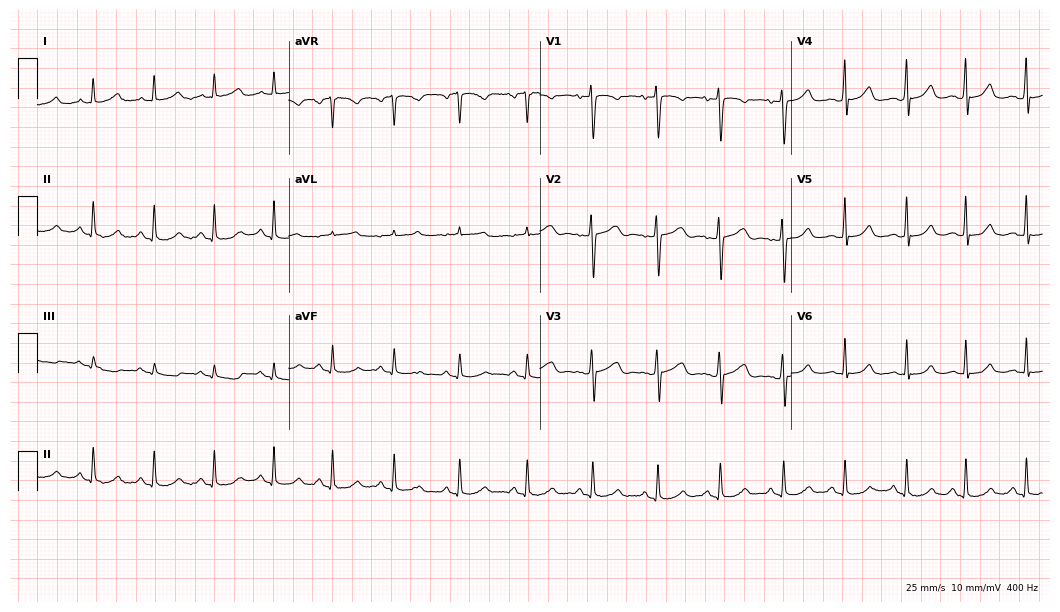
12-lead ECG from a female, 26 years old. No first-degree AV block, right bundle branch block (RBBB), left bundle branch block (LBBB), sinus bradycardia, atrial fibrillation (AF) or sinus tachycardia recorded for this tracing. Findings outside these six are not listed.